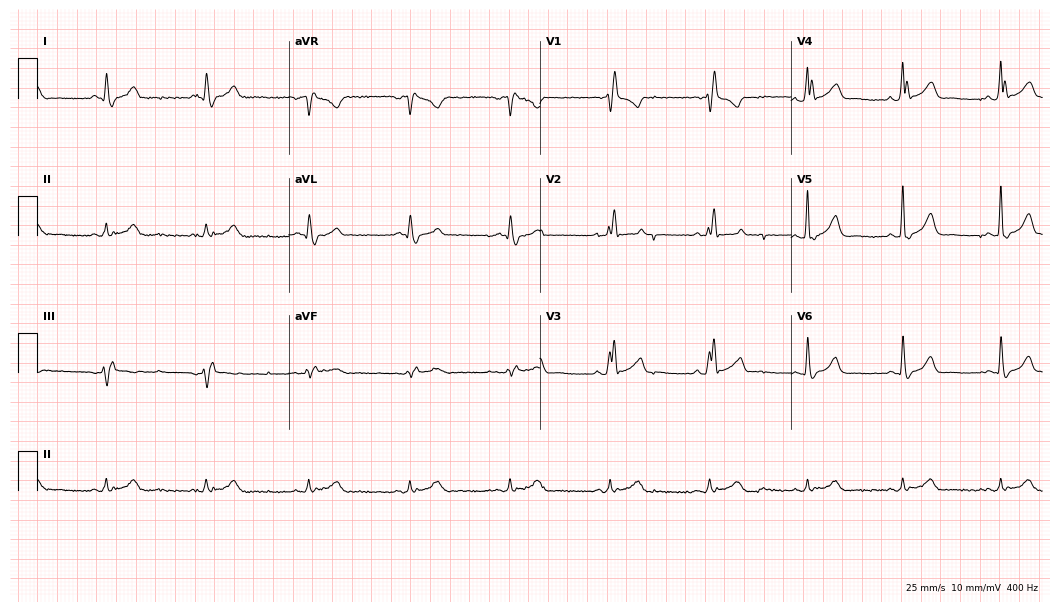
12-lead ECG from a male patient, 65 years old (10.2-second recording at 400 Hz). Shows right bundle branch block.